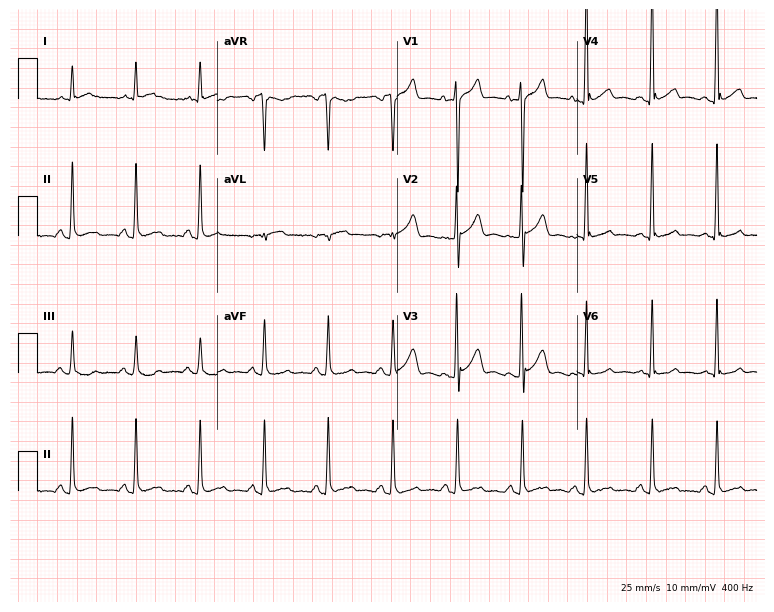
ECG (7.3-second recording at 400 Hz) — a 34-year-old male. Screened for six findings — first-degree AV block, right bundle branch block, left bundle branch block, sinus bradycardia, atrial fibrillation, sinus tachycardia — none is recorded. Findings outside these six are not listed.